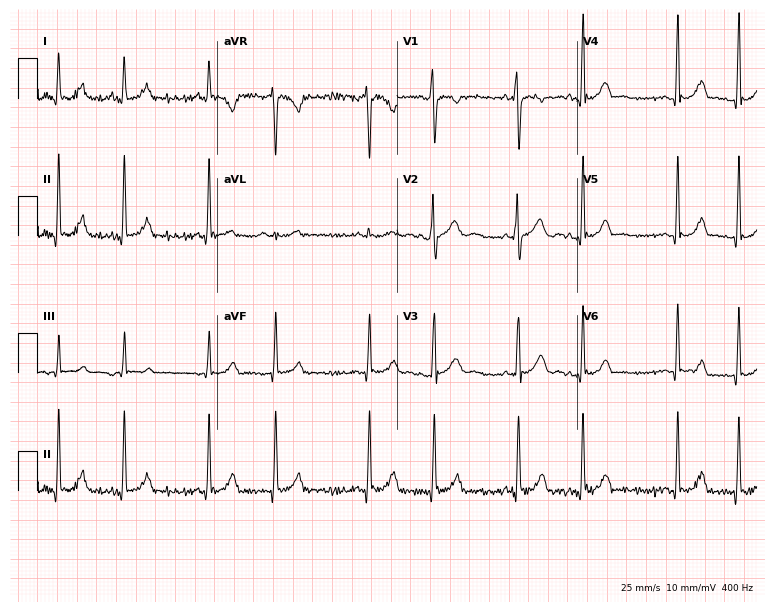
ECG — a woman, 20 years old. Screened for six findings — first-degree AV block, right bundle branch block (RBBB), left bundle branch block (LBBB), sinus bradycardia, atrial fibrillation (AF), sinus tachycardia — none is recorded. Other findings, if any, are not listed.